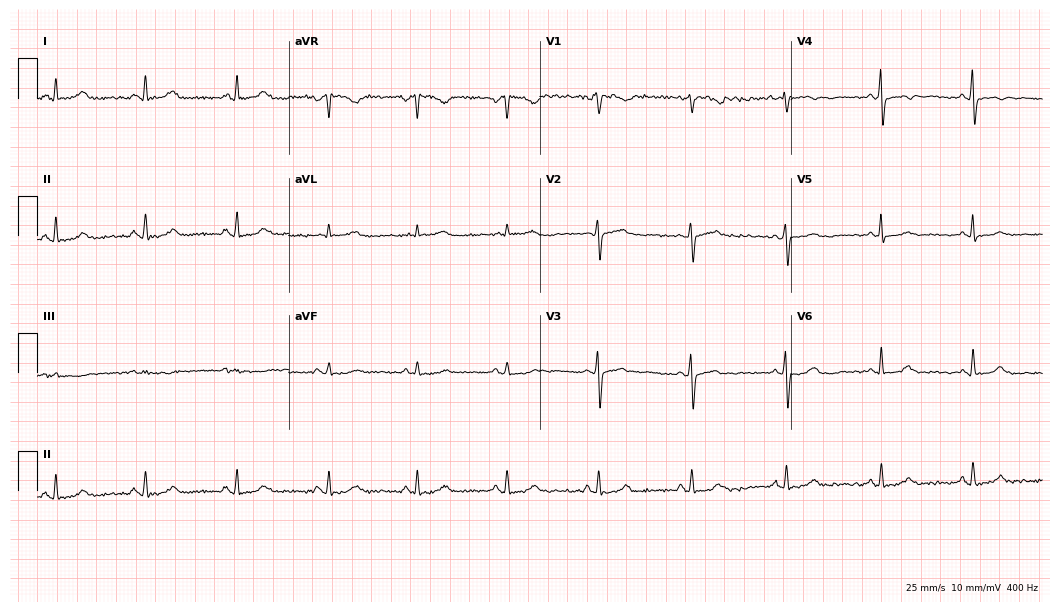
ECG (10.2-second recording at 400 Hz) — a 59-year-old woman. Labelled as a normal ECG.